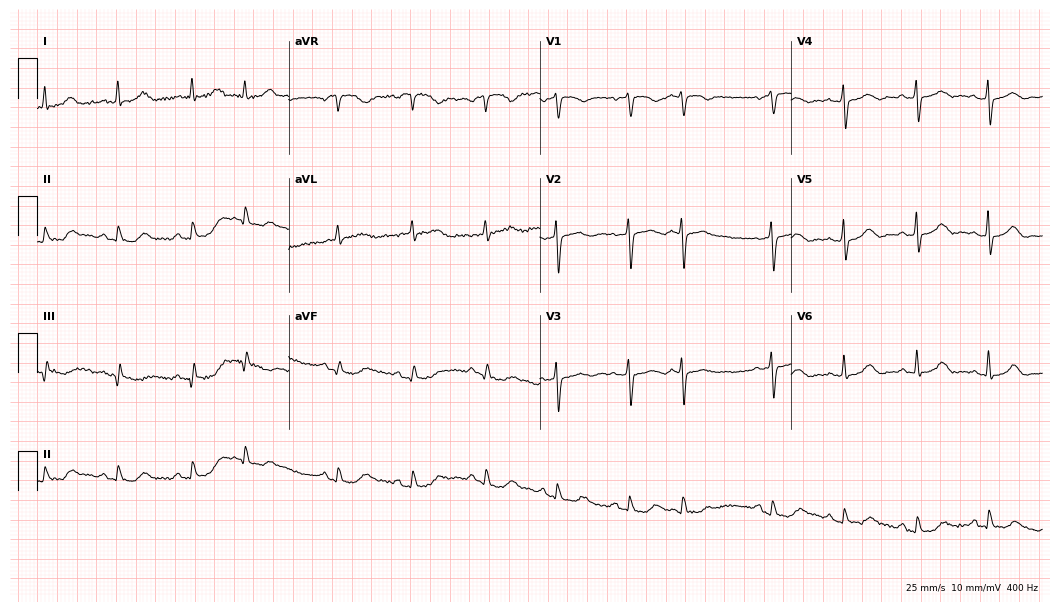
12-lead ECG from a 74-year-old woman. Labelled as a normal ECG.